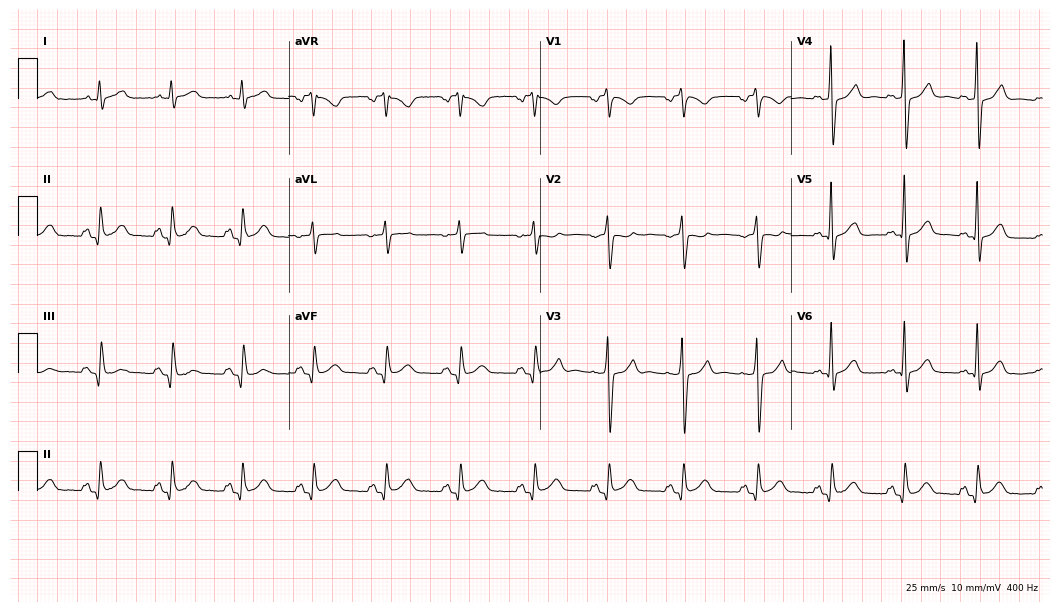
12-lead ECG from a man, 53 years old (10.2-second recording at 400 Hz). No first-degree AV block, right bundle branch block, left bundle branch block, sinus bradycardia, atrial fibrillation or sinus tachycardia recorded for this tracing.